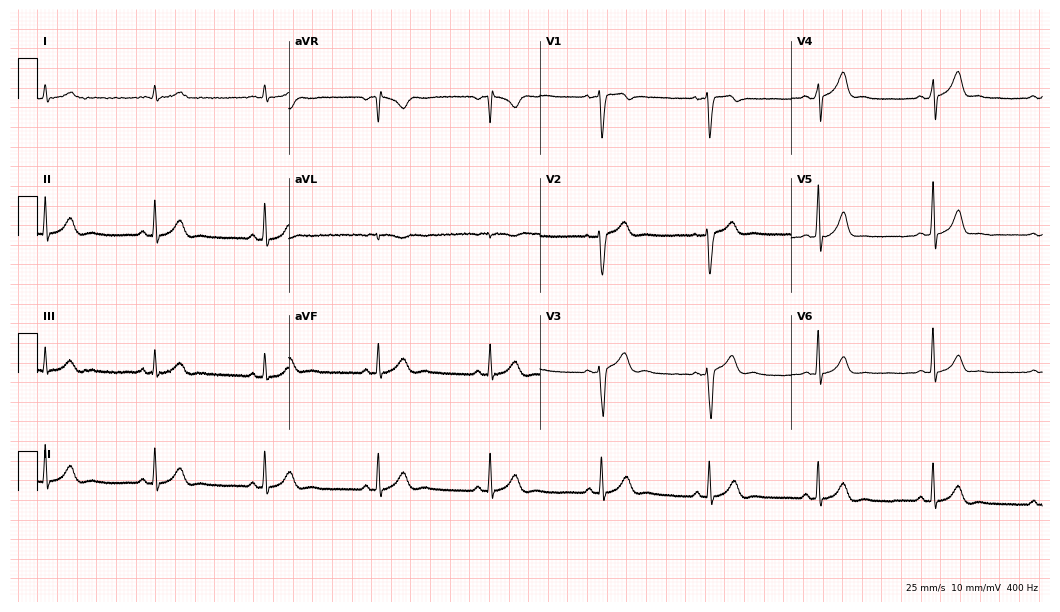
12-lead ECG from a man, 25 years old (10.2-second recording at 400 Hz). Recorded interpretation: within normal limits.